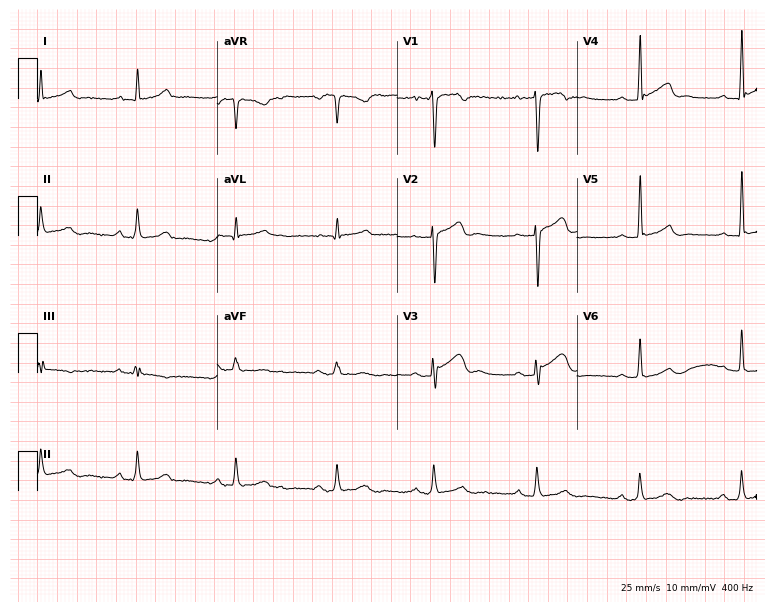
Electrocardiogram, a man, 35 years old. Of the six screened findings (first-degree AV block, right bundle branch block (RBBB), left bundle branch block (LBBB), sinus bradycardia, atrial fibrillation (AF), sinus tachycardia), none is recorded. Findings outside these six are not listed.